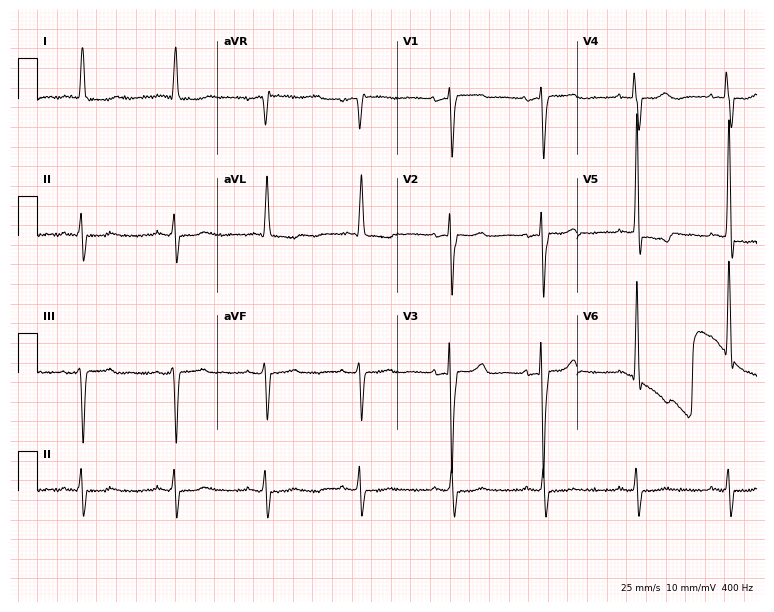
Electrocardiogram, a woman, 84 years old. Of the six screened findings (first-degree AV block, right bundle branch block, left bundle branch block, sinus bradycardia, atrial fibrillation, sinus tachycardia), none is recorded. Other findings, if any, are not listed.